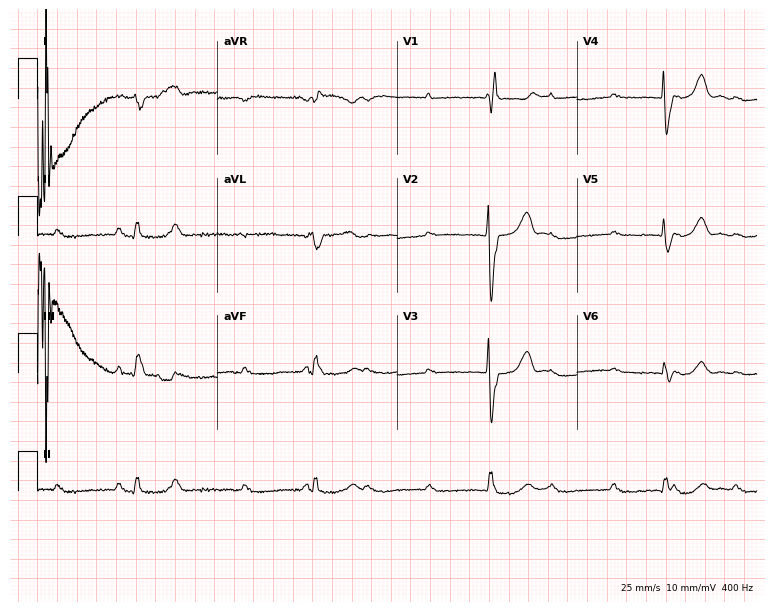
Standard 12-lead ECG recorded from an 84-year-old male patient (7.3-second recording at 400 Hz). None of these six findings is recorded: first-degree AV block, right bundle branch block, left bundle branch block, sinus bradycardia, atrial fibrillation, sinus tachycardia.